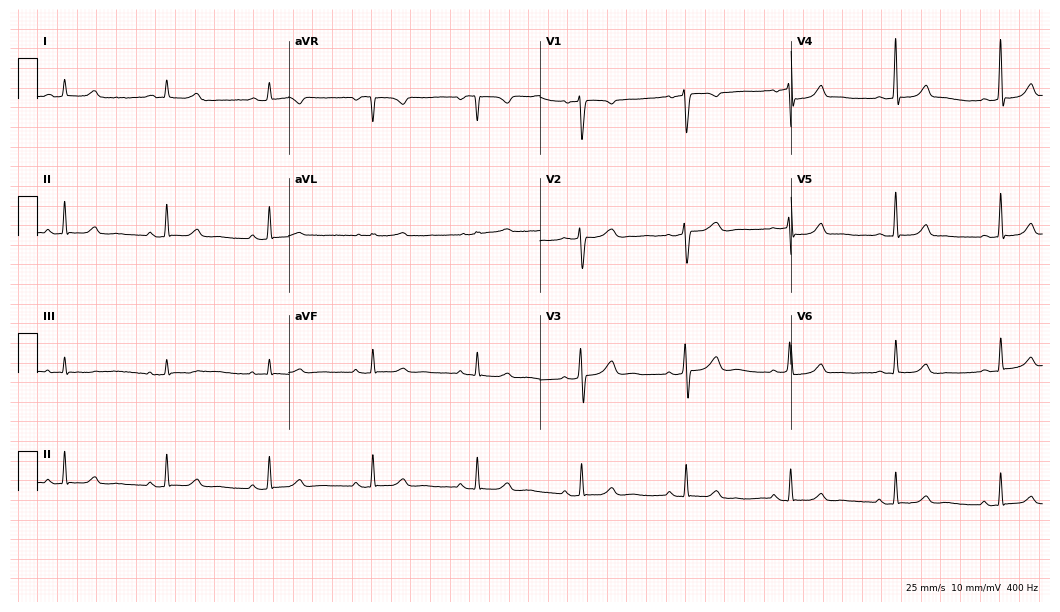
Standard 12-lead ECG recorded from a 36-year-old female patient (10.2-second recording at 400 Hz). Read as a normal ECG.